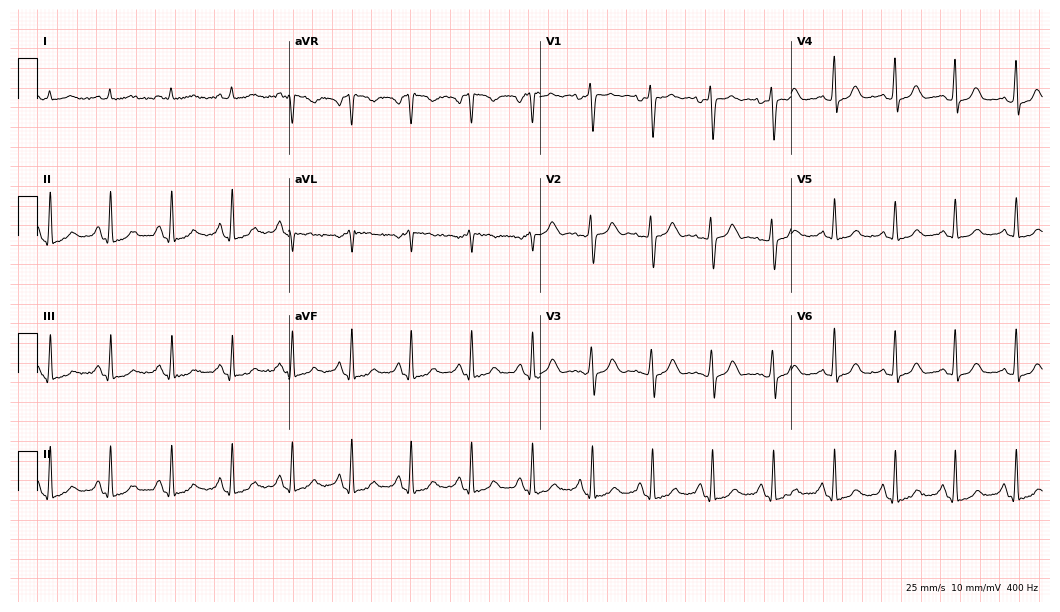
12-lead ECG from a 47-year-old woman. Screened for six findings — first-degree AV block, right bundle branch block, left bundle branch block, sinus bradycardia, atrial fibrillation, sinus tachycardia — none is recorded.